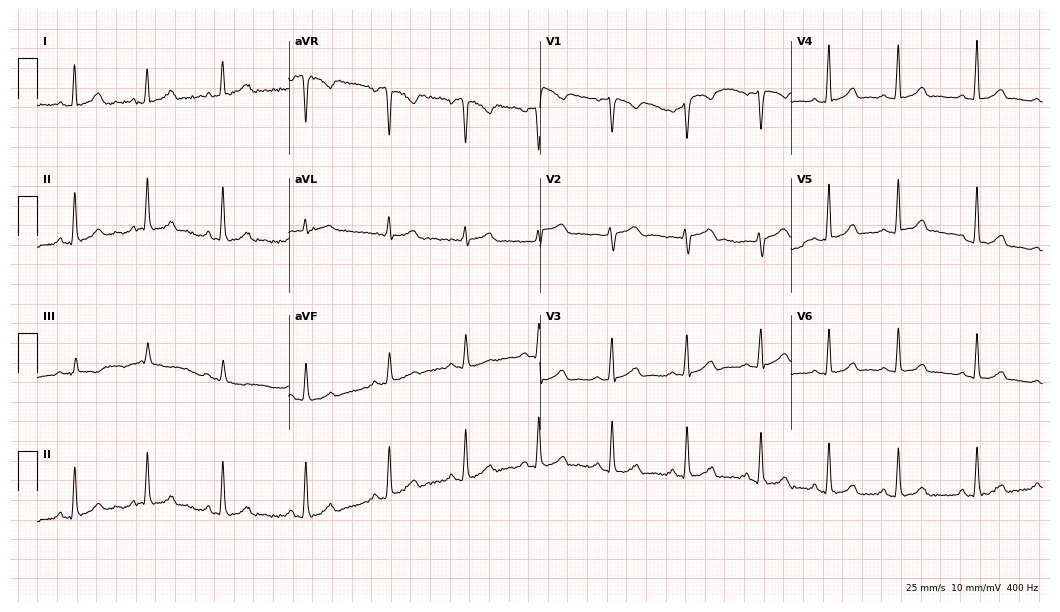
Standard 12-lead ECG recorded from a 26-year-old female patient. None of these six findings is recorded: first-degree AV block, right bundle branch block (RBBB), left bundle branch block (LBBB), sinus bradycardia, atrial fibrillation (AF), sinus tachycardia.